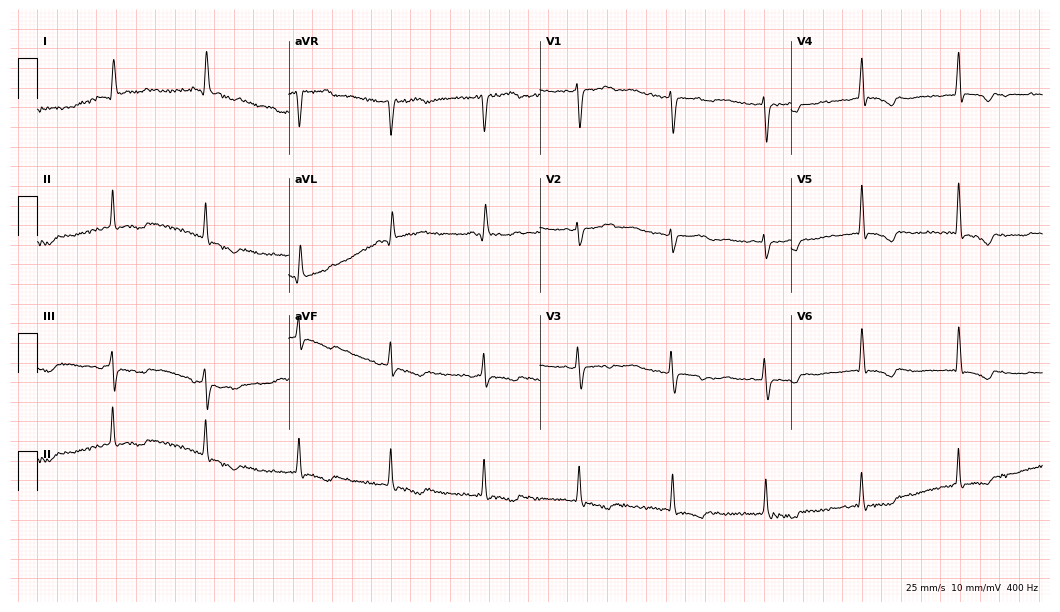
Standard 12-lead ECG recorded from a 62-year-old female (10.2-second recording at 400 Hz). None of these six findings is recorded: first-degree AV block, right bundle branch block (RBBB), left bundle branch block (LBBB), sinus bradycardia, atrial fibrillation (AF), sinus tachycardia. Other findings, if any, are not listed.